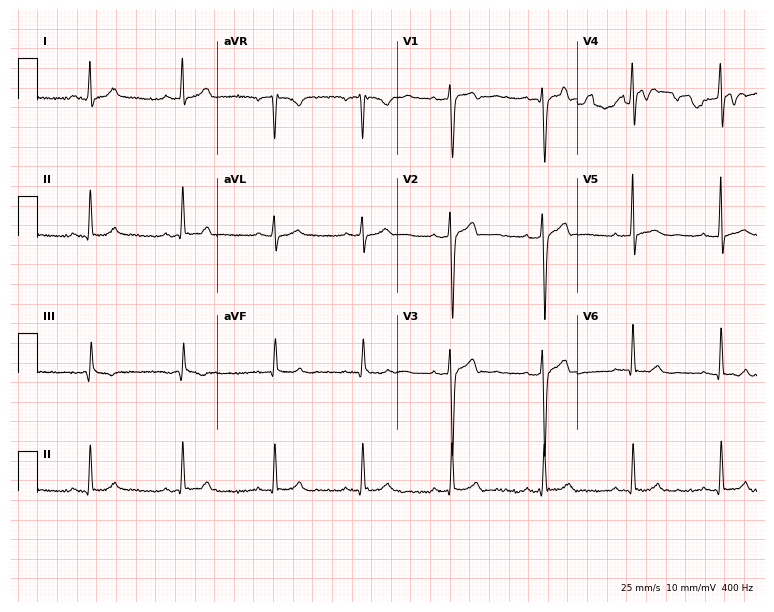
Resting 12-lead electrocardiogram. Patient: a 27-year-old male. None of these six findings is recorded: first-degree AV block, right bundle branch block (RBBB), left bundle branch block (LBBB), sinus bradycardia, atrial fibrillation (AF), sinus tachycardia. Other findings, if any, are not listed.